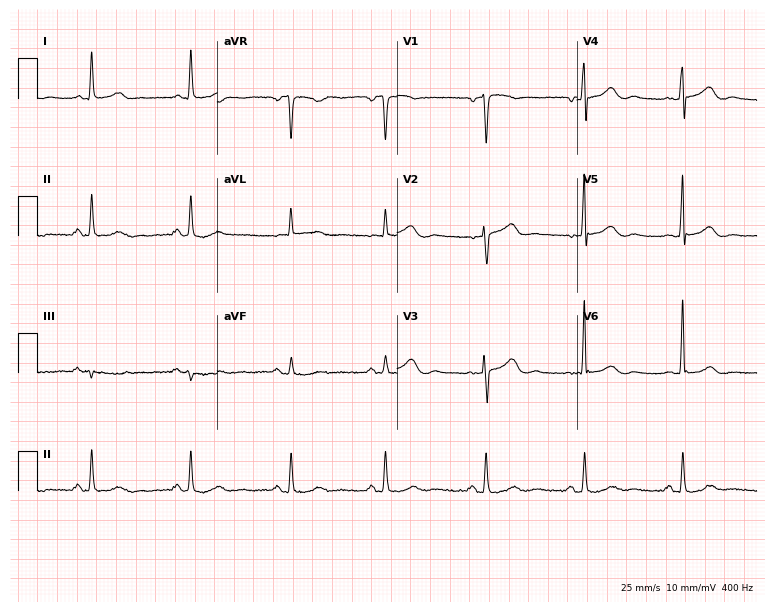
12-lead ECG from a 56-year-old female patient. Recorded interpretation: within normal limits.